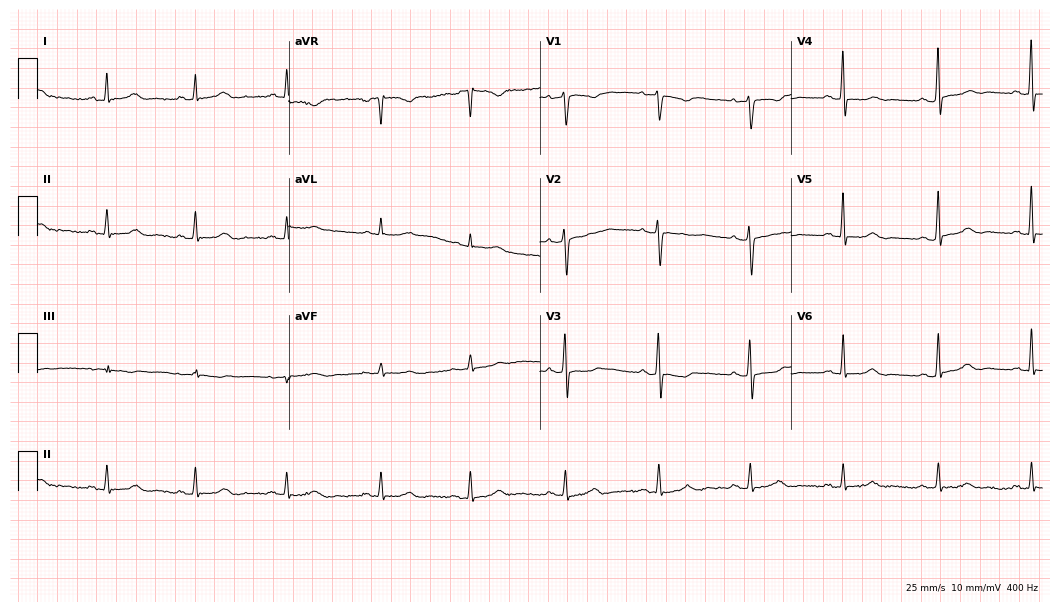
12-lead ECG (10.2-second recording at 400 Hz) from a 55-year-old female patient. Labelled as a normal ECG.